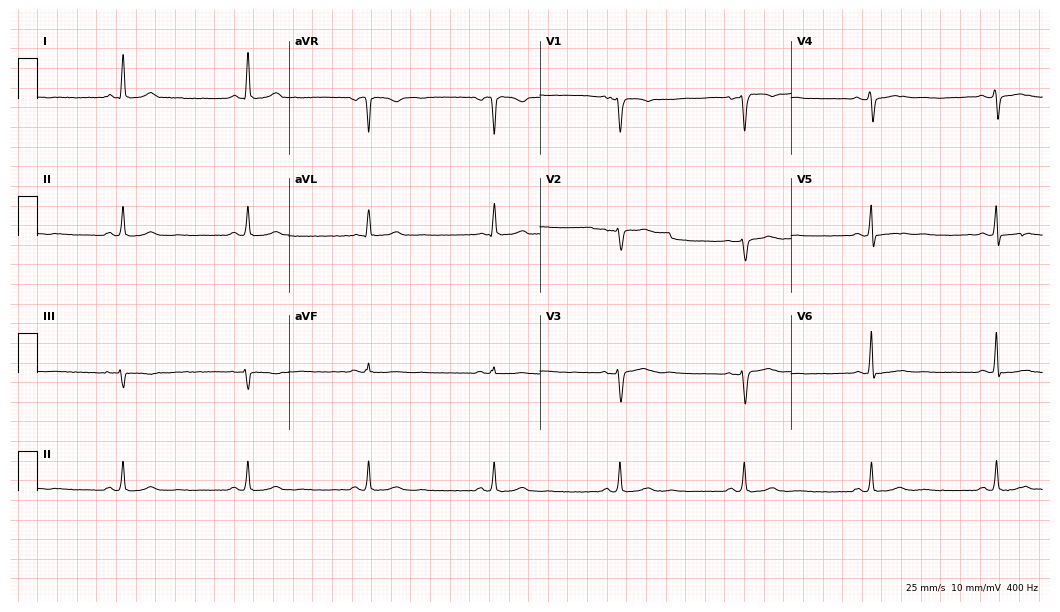
Resting 12-lead electrocardiogram. Patient: a female, 44 years old. The tracing shows sinus bradycardia (a sinus rate of 50 beats per minute or less).